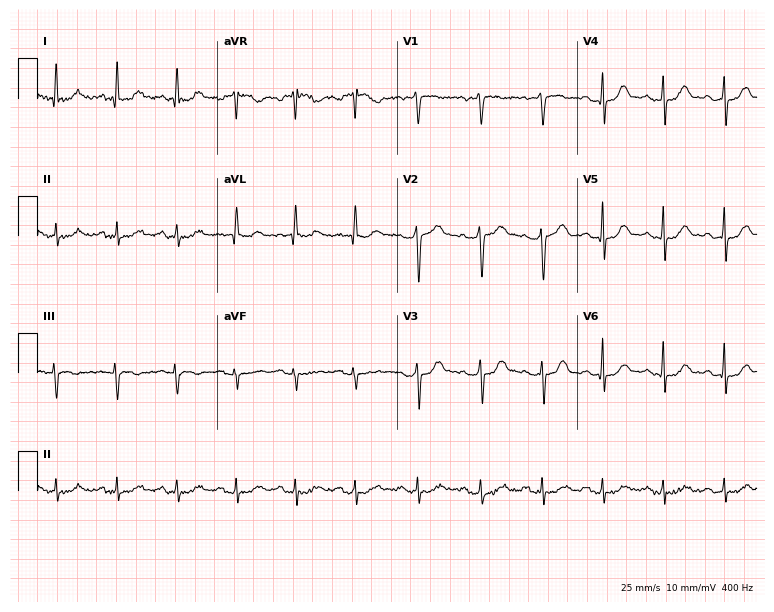
ECG (7.3-second recording at 400 Hz) — a 64-year-old male. Screened for six findings — first-degree AV block, right bundle branch block, left bundle branch block, sinus bradycardia, atrial fibrillation, sinus tachycardia — none is recorded.